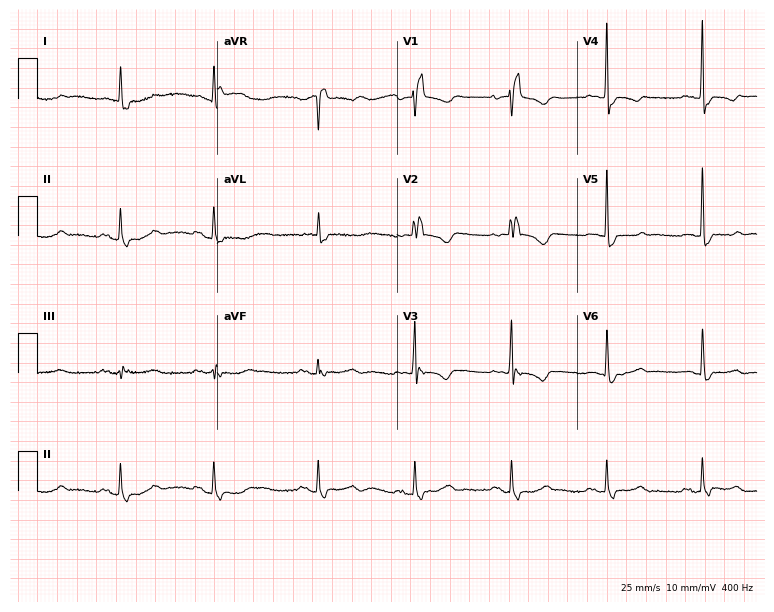
Resting 12-lead electrocardiogram. Patient: an 85-year-old woman. The tracing shows right bundle branch block.